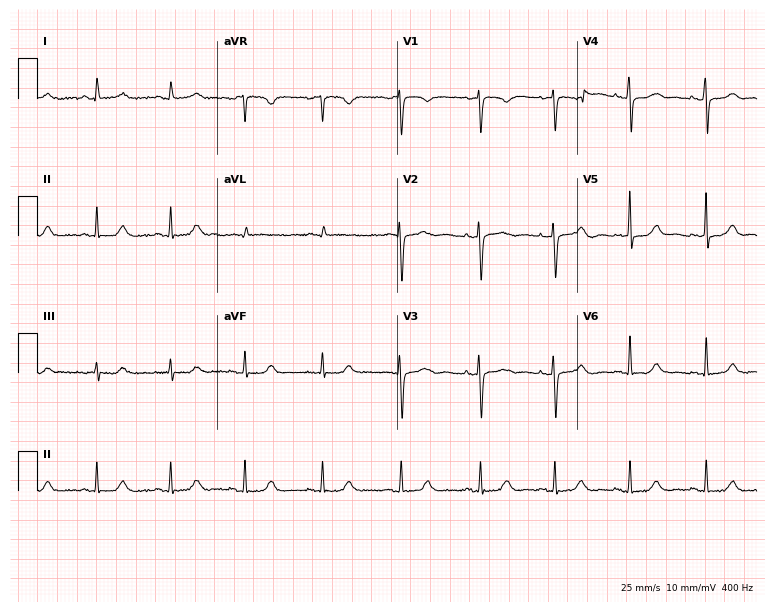
12-lead ECG from a female, 43 years old (7.3-second recording at 400 Hz). No first-degree AV block, right bundle branch block (RBBB), left bundle branch block (LBBB), sinus bradycardia, atrial fibrillation (AF) or sinus tachycardia recorded for this tracing. Other findings, if any, are not listed.